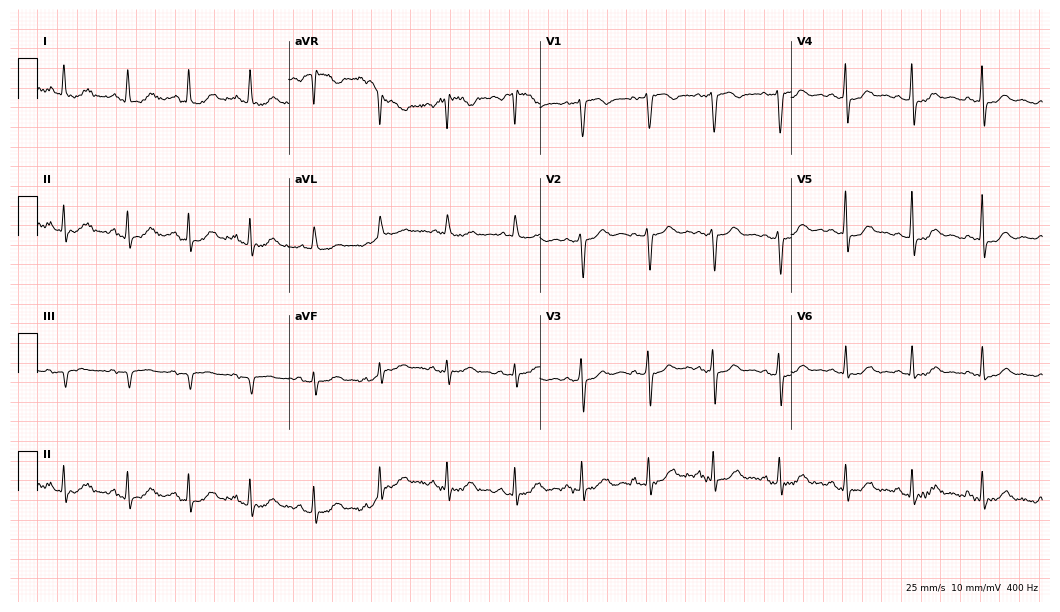
12-lead ECG from a 58-year-old woman. Screened for six findings — first-degree AV block, right bundle branch block, left bundle branch block, sinus bradycardia, atrial fibrillation, sinus tachycardia — none is recorded.